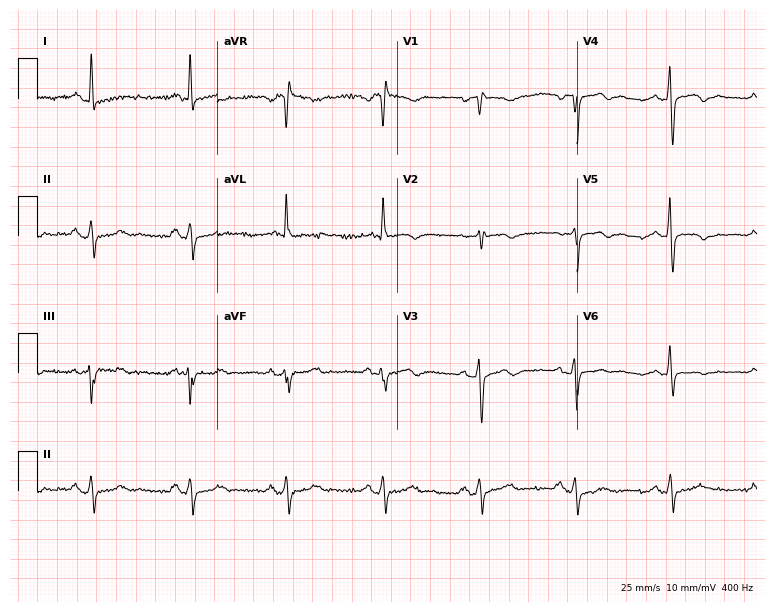
Resting 12-lead electrocardiogram (7.3-second recording at 400 Hz). Patient: a female, 70 years old. None of these six findings is recorded: first-degree AV block, right bundle branch block, left bundle branch block, sinus bradycardia, atrial fibrillation, sinus tachycardia.